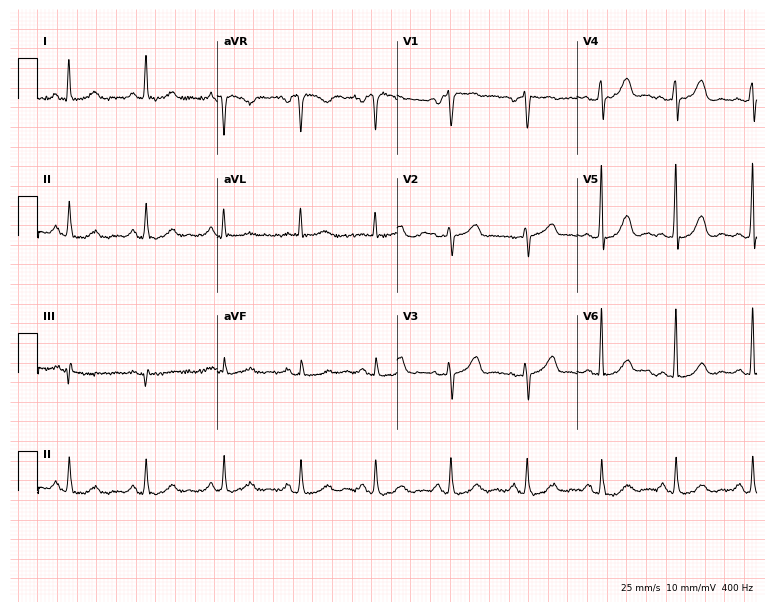
Electrocardiogram (7.3-second recording at 400 Hz), a 67-year-old female patient. Overall reading on record: normal ECG.